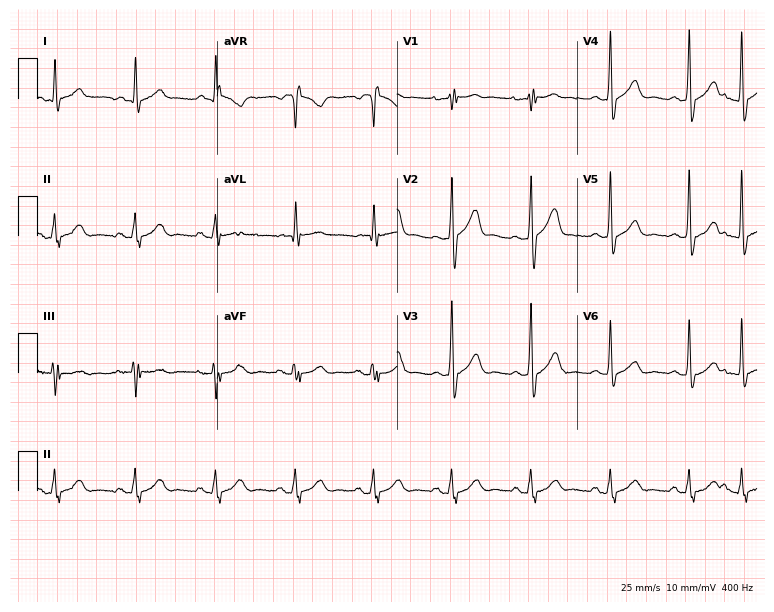
ECG (7.3-second recording at 400 Hz) — a male, 74 years old. Screened for six findings — first-degree AV block, right bundle branch block, left bundle branch block, sinus bradycardia, atrial fibrillation, sinus tachycardia — none is recorded.